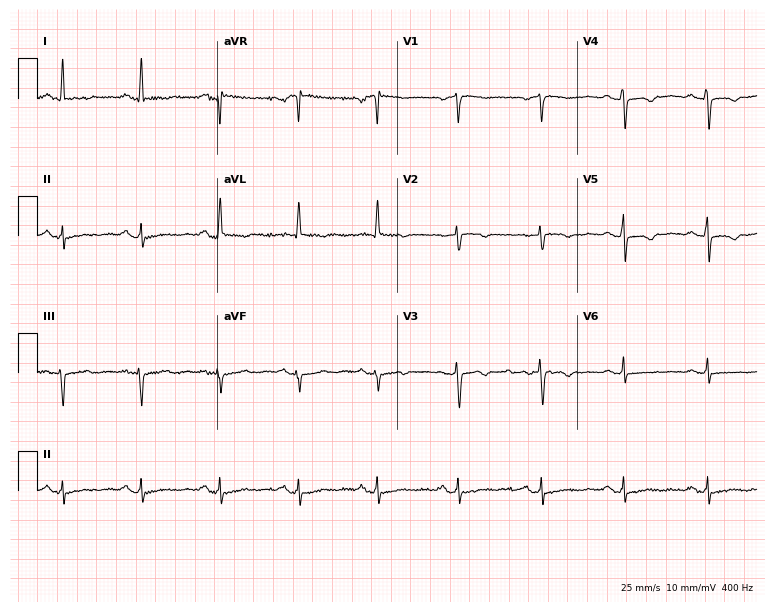
Resting 12-lead electrocardiogram (7.3-second recording at 400 Hz). Patient: a 57-year-old woman. None of these six findings is recorded: first-degree AV block, right bundle branch block, left bundle branch block, sinus bradycardia, atrial fibrillation, sinus tachycardia. Other findings, if any, are not listed.